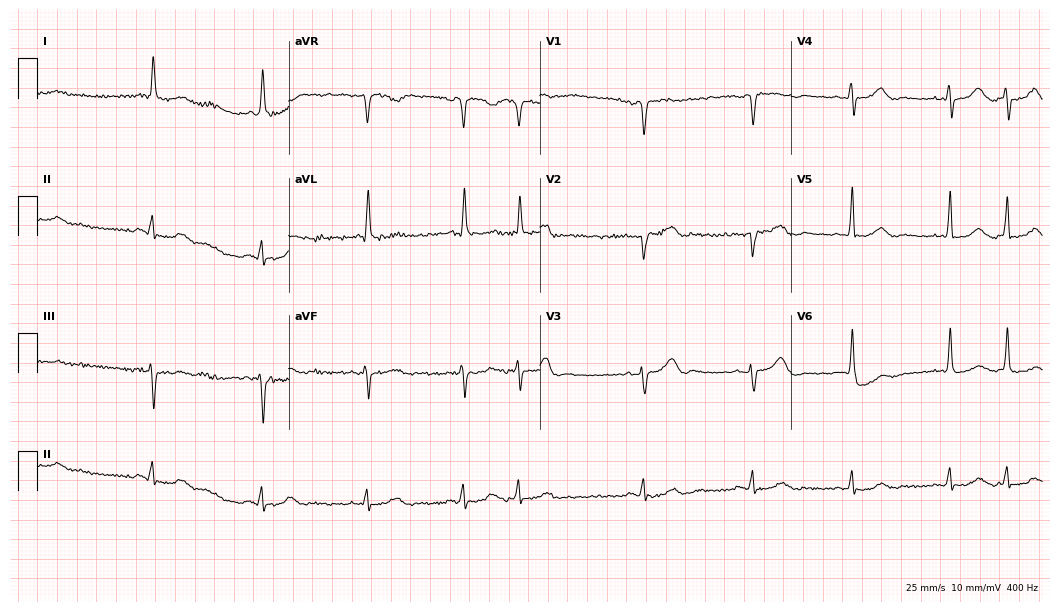
Standard 12-lead ECG recorded from an 85-year-old female patient (10.2-second recording at 400 Hz). None of these six findings is recorded: first-degree AV block, right bundle branch block (RBBB), left bundle branch block (LBBB), sinus bradycardia, atrial fibrillation (AF), sinus tachycardia.